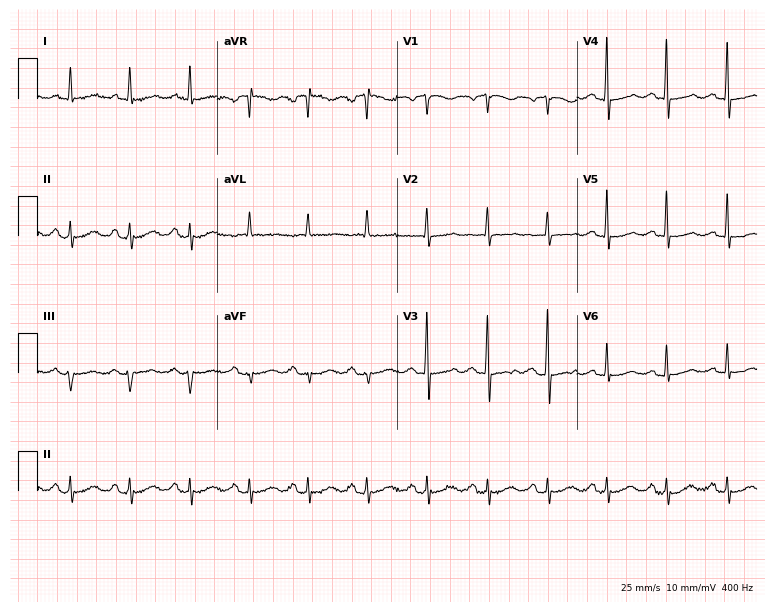
Electrocardiogram (7.3-second recording at 400 Hz), a female, 62 years old. Of the six screened findings (first-degree AV block, right bundle branch block, left bundle branch block, sinus bradycardia, atrial fibrillation, sinus tachycardia), none is recorded. Other findings, if any, are not listed.